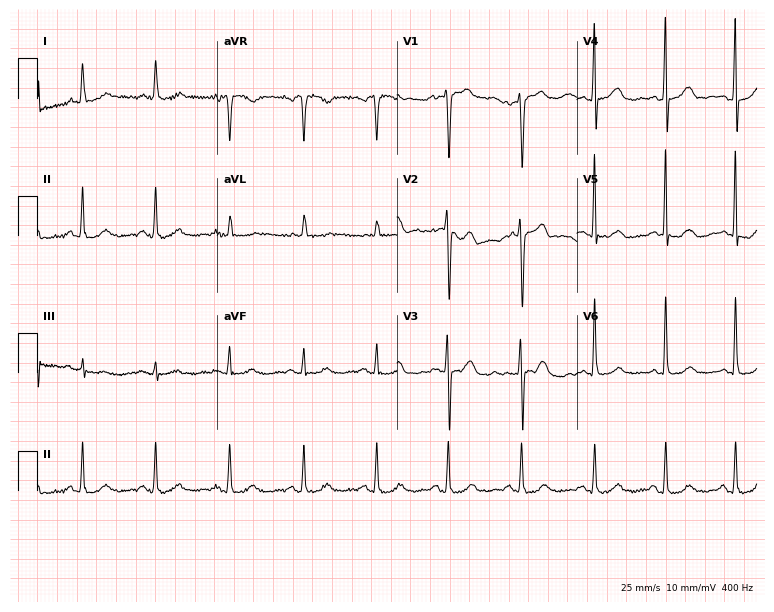
Resting 12-lead electrocardiogram (7.3-second recording at 400 Hz). Patient: a 49-year-old woman. None of these six findings is recorded: first-degree AV block, right bundle branch block, left bundle branch block, sinus bradycardia, atrial fibrillation, sinus tachycardia. Other findings, if any, are not listed.